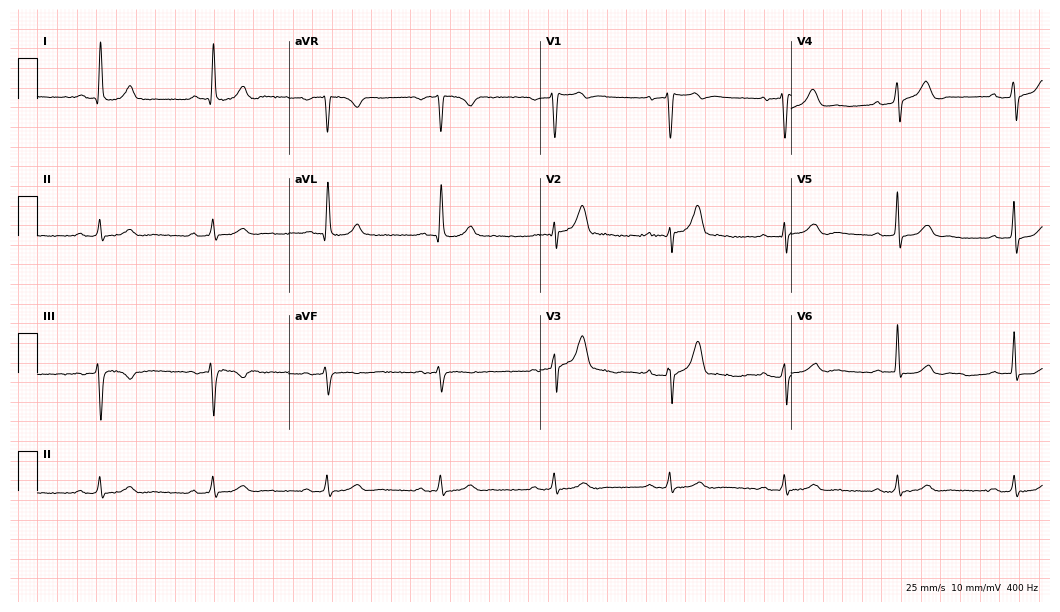
12-lead ECG from a 67-year-old male (10.2-second recording at 400 Hz). Recorded interpretation: within normal limits.